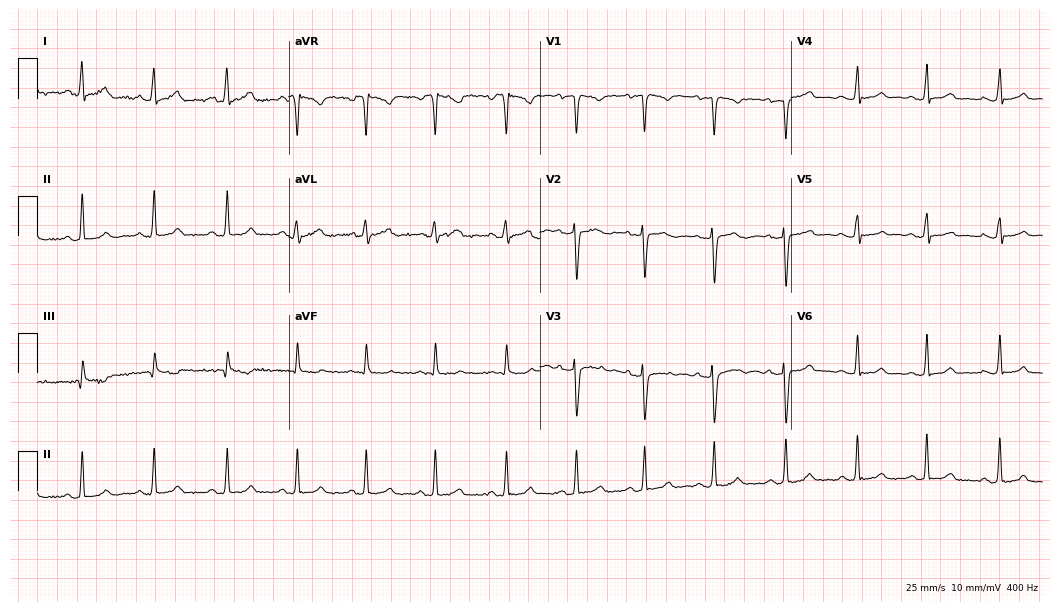
12-lead ECG from a female, 19 years old (10.2-second recording at 400 Hz). Recorded interpretation: within normal limits.